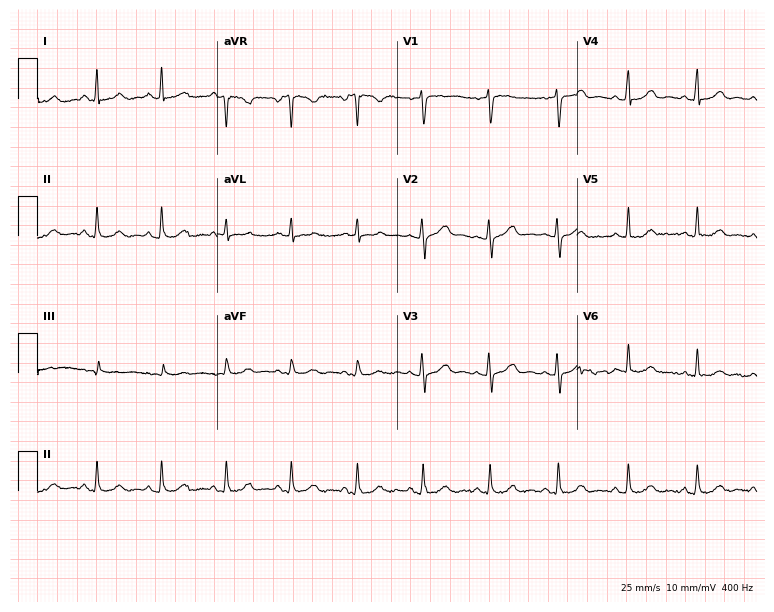
12-lead ECG from a female, 34 years old. No first-degree AV block, right bundle branch block, left bundle branch block, sinus bradycardia, atrial fibrillation or sinus tachycardia recorded for this tracing. Only these six findings were labelled.